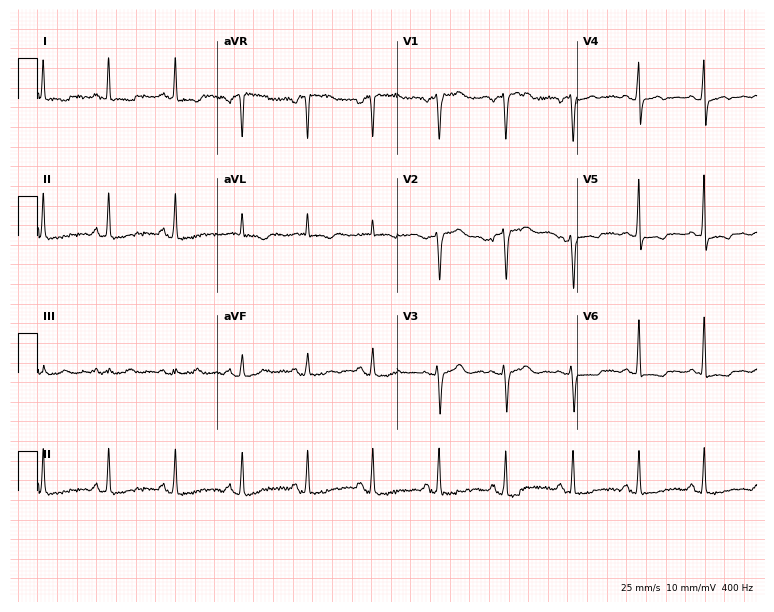
12-lead ECG from a female patient, 50 years old. Screened for six findings — first-degree AV block, right bundle branch block, left bundle branch block, sinus bradycardia, atrial fibrillation, sinus tachycardia — none is recorded. Findings outside these six are not listed.